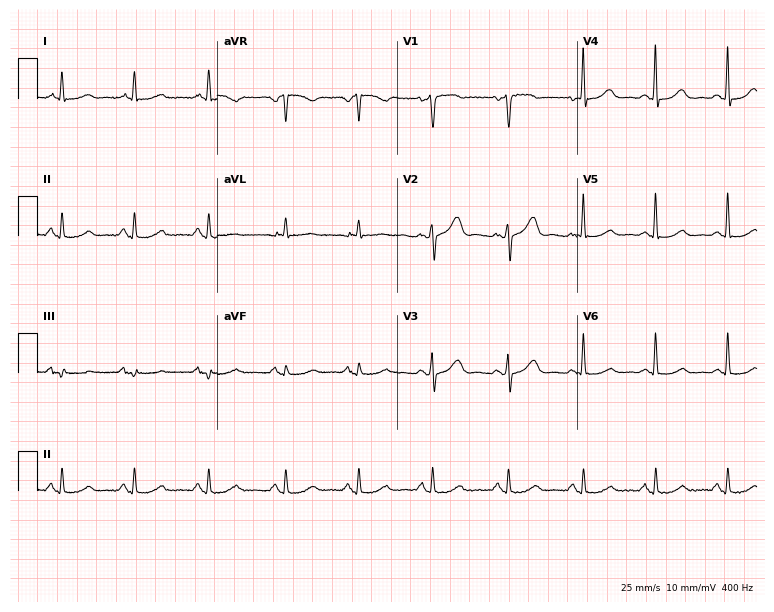
Resting 12-lead electrocardiogram. Patient: a female, 56 years old. Read as a normal ECG.